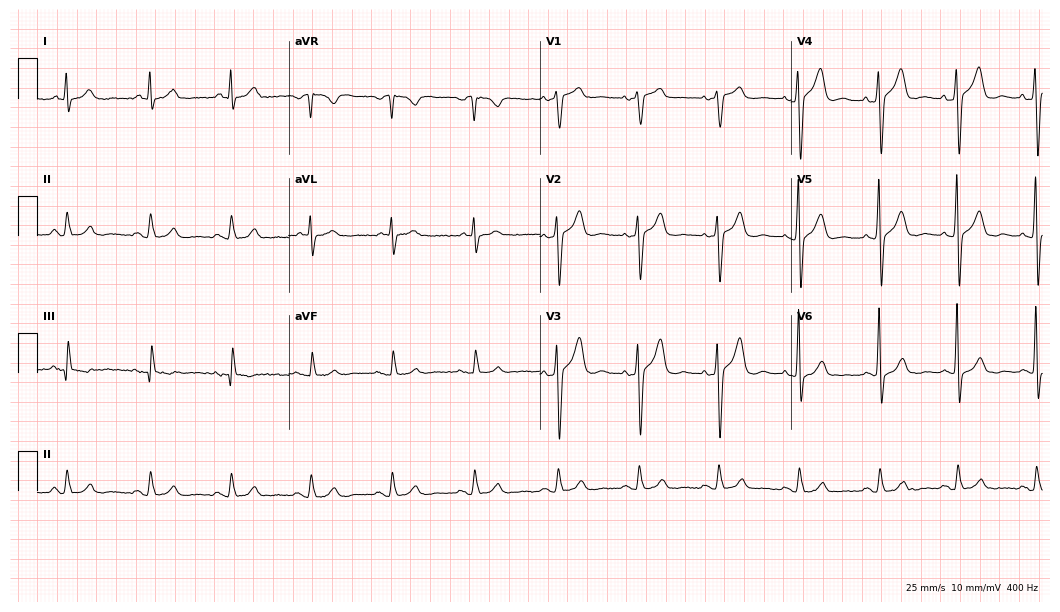
Standard 12-lead ECG recorded from a 56-year-old male patient. None of these six findings is recorded: first-degree AV block, right bundle branch block (RBBB), left bundle branch block (LBBB), sinus bradycardia, atrial fibrillation (AF), sinus tachycardia. Other findings, if any, are not listed.